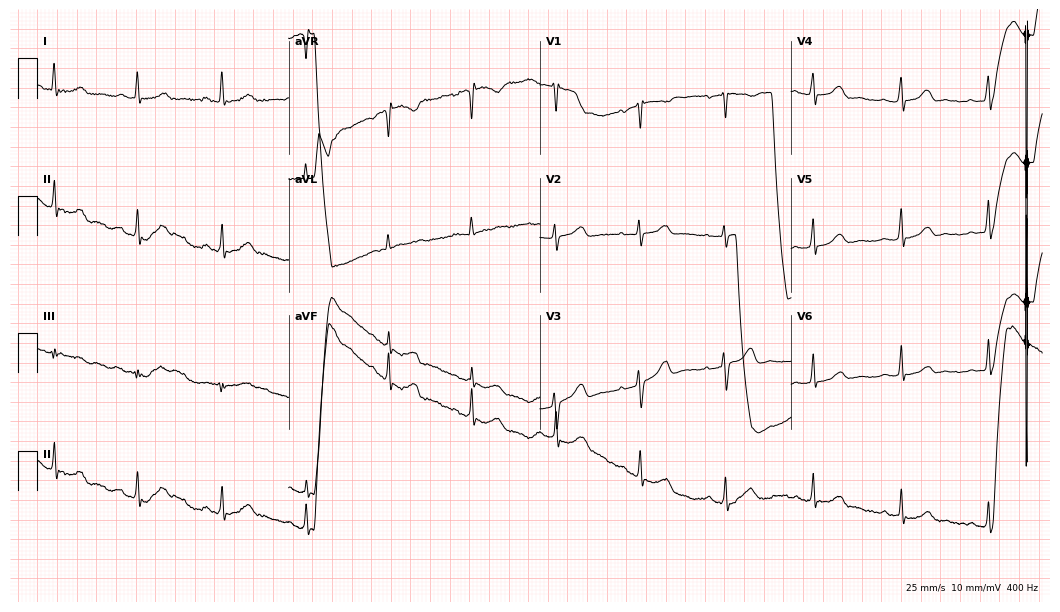
12-lead ECG from a 53-year-old female patient (10.2-second recording at 400 Hz). No first-degree AV block, right bundle branch block, left bundle branch block, sinus bradycardia, atrial fibrillation or sinus tachycardia recorded for this tracing.